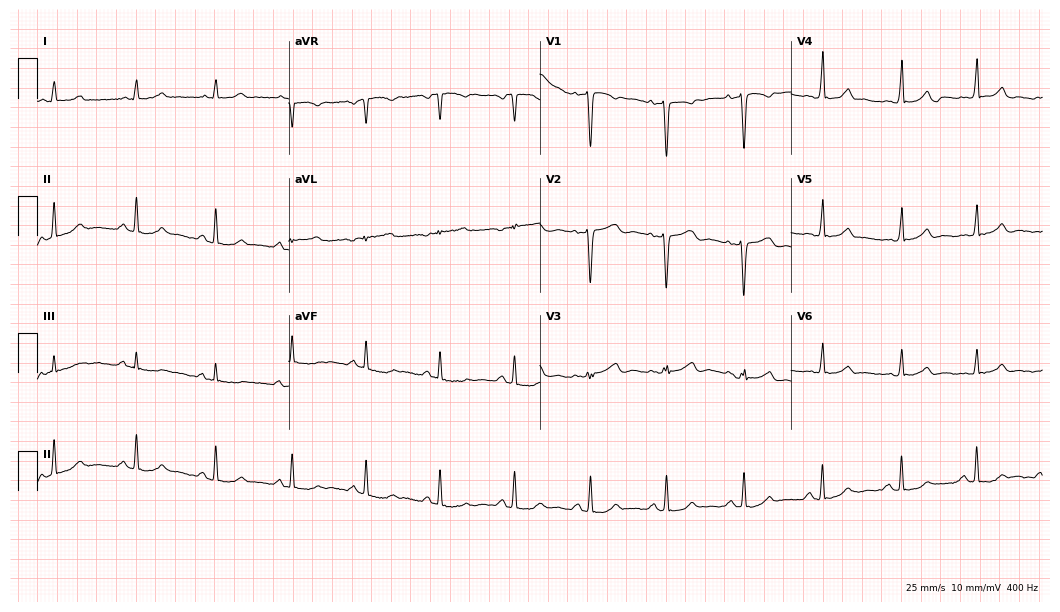
Electrocardiogram, a 28-year-old woman. Overall reading on record: normal ECG.